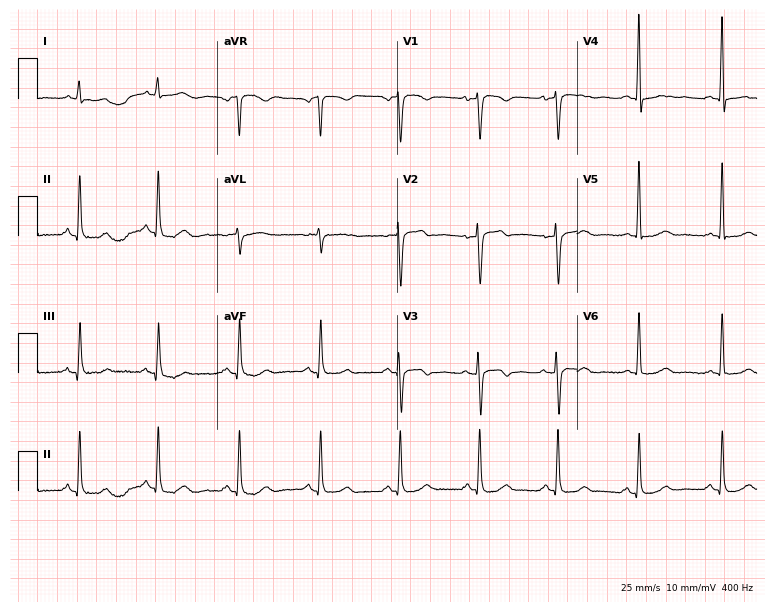
ECG (7.3-second recording at 400 Hz) — a 54-year-old female. Screened for six findings — first-degree AV block, right bundle branch block (RBBB), left bundle branch block (LBBB), sinus bradycardia, atrial fibrillation (AF), sinus tachycardia — none is recorded.